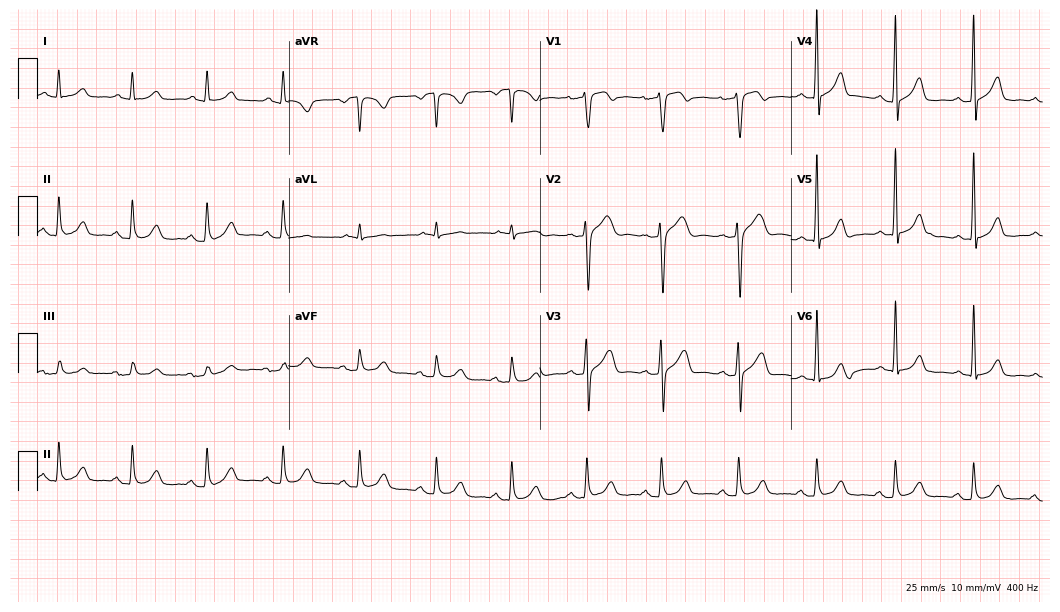
12-lead ECG from a 64-year-old female. Labelled as a normal ECG.